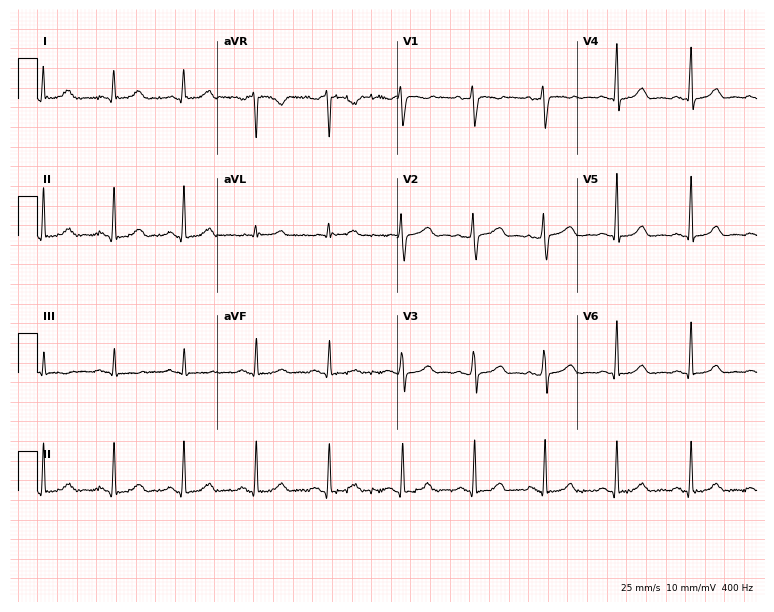
Standard 12-lead ECG recorded from a 49-year-old female patient (7.3-second recording at 400 Hz). Read as a normal ECG.